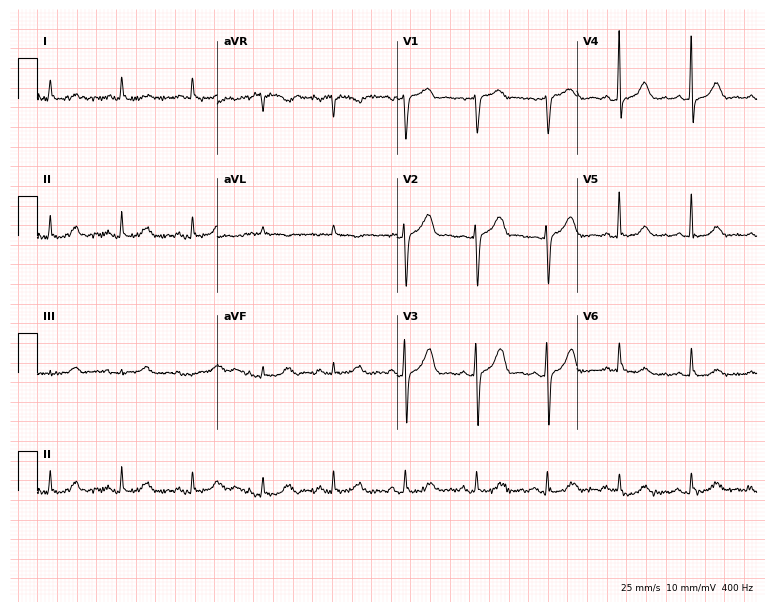
12-lead ECG from an 80-year-old female. Labelled as a normal ECG.